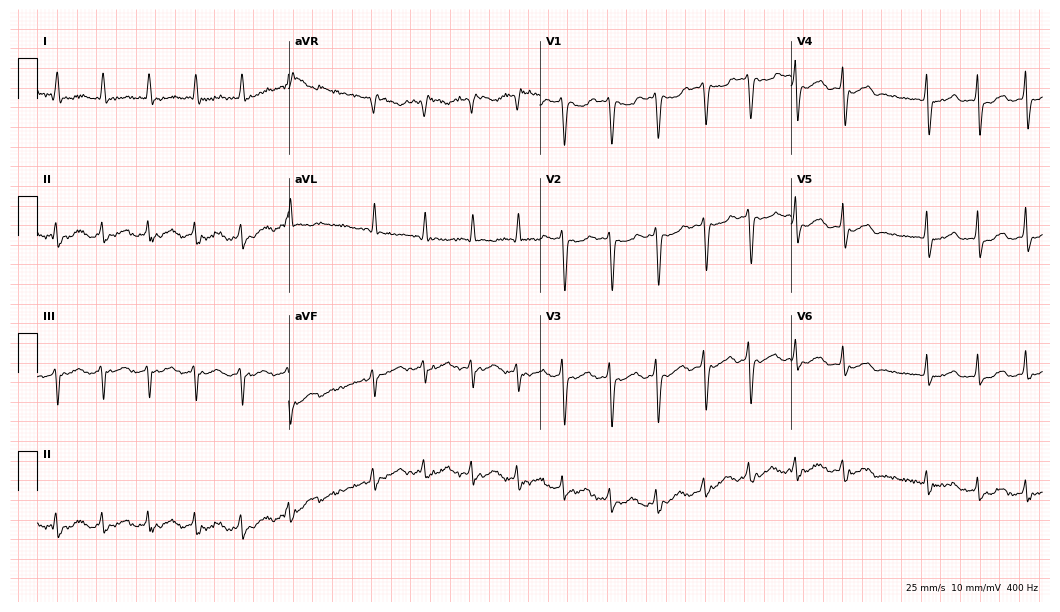
12-lead ECG from an 85-year-old female. Shows atrial fibrillation, sinus tachycardia (a sinus rate of 100 beats per minute or more).